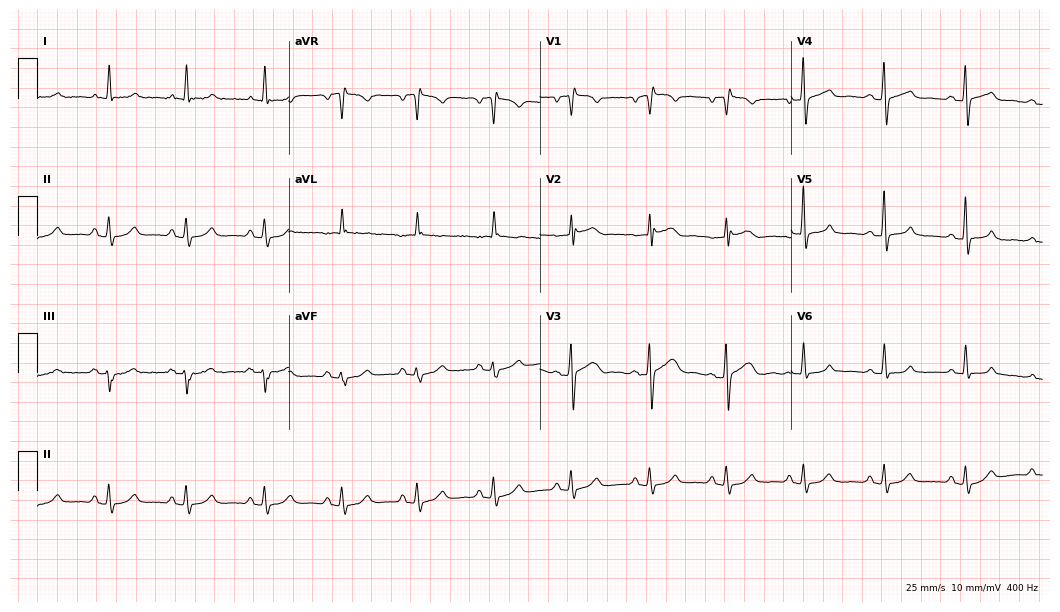
Standard 12-lead ECG recorded from a man, 69 years old. Read as a normal ECG.